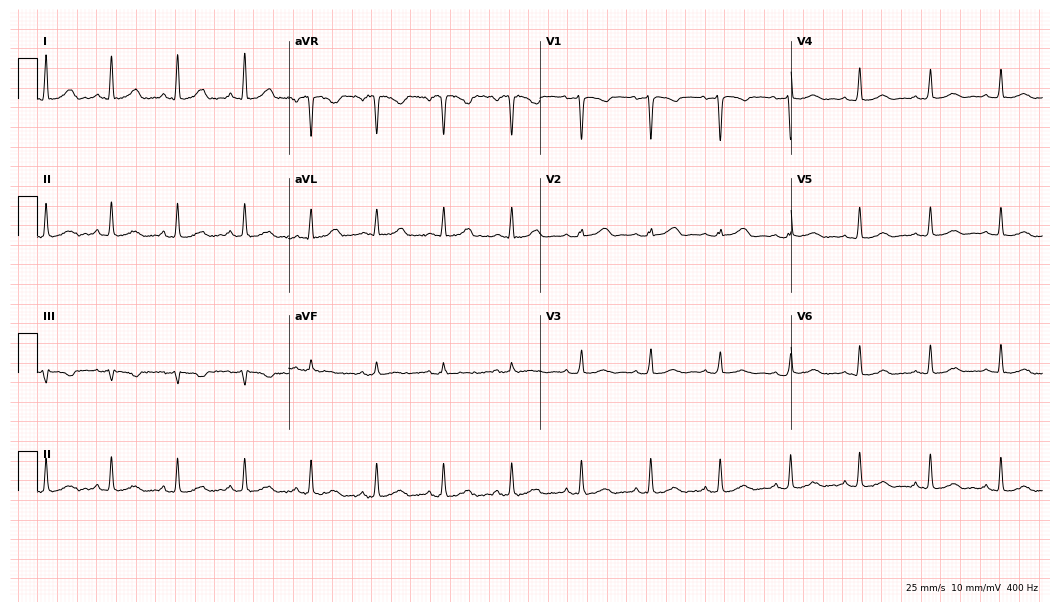
Resting 12-lead electrocardiogram. Patient: a 29-year-old female. None of these six findings is recorded: first-degree AV block, right bundle branch block, left bundle branch block, sinus bradycardia, atrial fibrillation, sinus tachycardia.